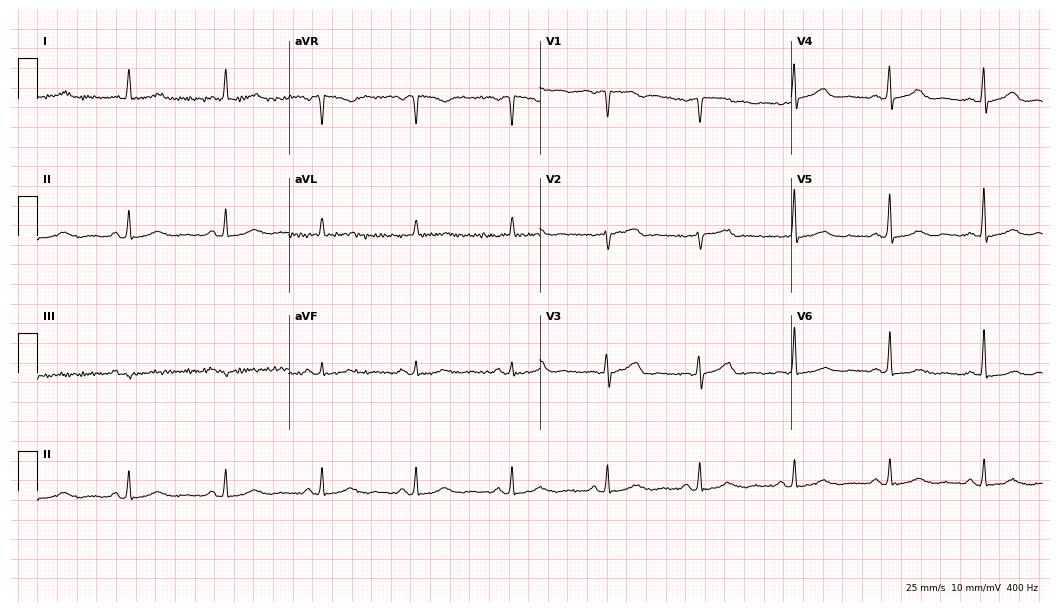
12-lead ECG from a 72-year-old female patient (10.2-second recording at 400 Hz). No first-degree AV block, right bundle branch block, left bundle branch block, sinus bradycardia, atrial fibrillation or sinus tachycardia recorded for this tracing.